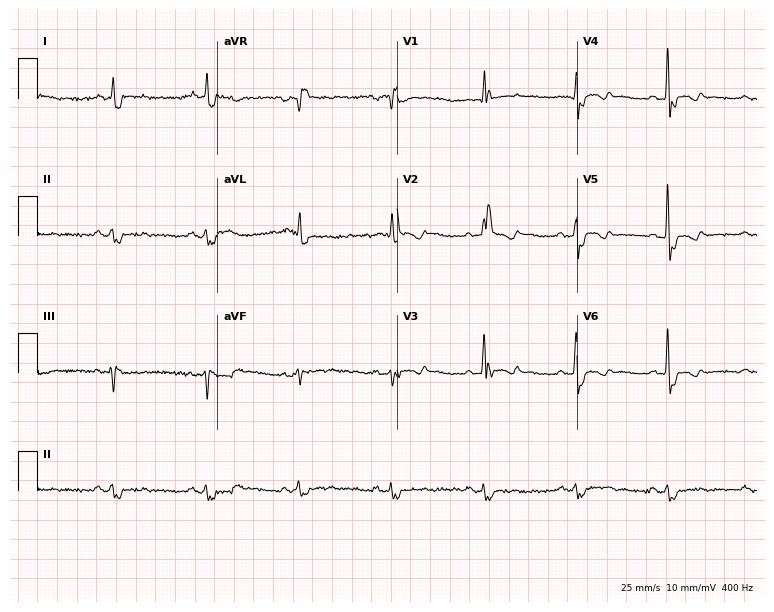
12-lead ECG from a man, 73 years old. Screened for six findings — first-degree AV block, right bundle branch block, left bundle branch block, sinus bradycardia, atrial fibrillation, sinus tachycardia — none is recorded.